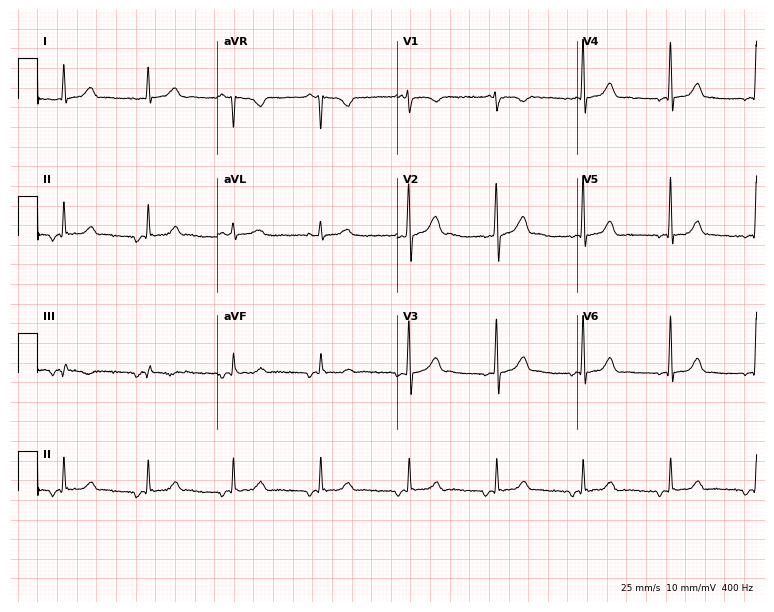
Resting 12-lead electrocardiogram. Patient: a 48-year-old woman. None of these six findings is recorded: first-degree AV block, right bundle branch block (RBBB), left bundle branch block (LBBB), sinus bradycardia, atrial fibrillation (AF), sinus tachycardia.